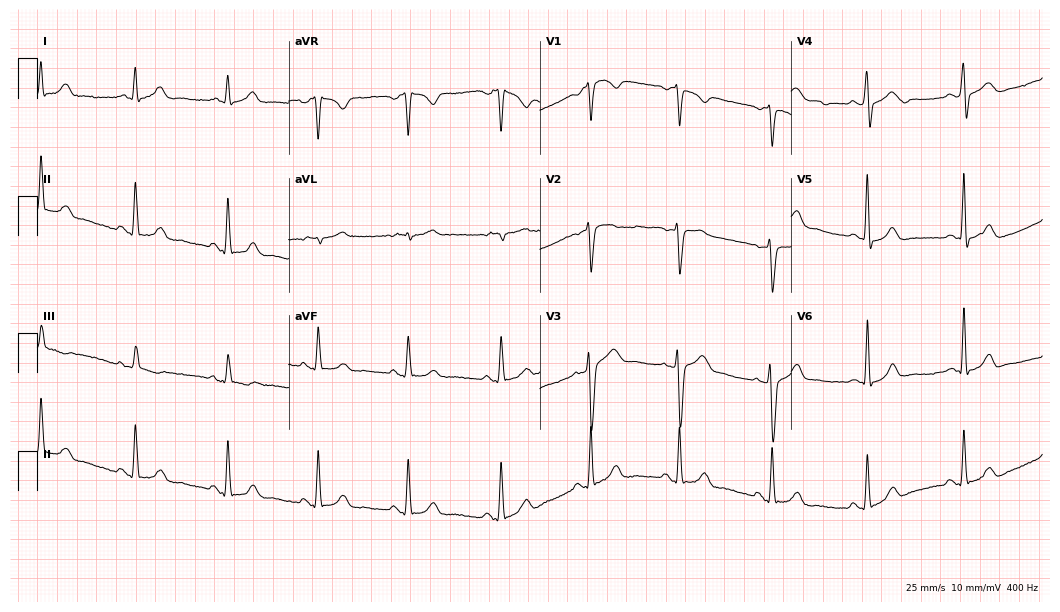
12-lead ECG (10.2-second recording at 400 Hz) from a 36-year-old man. Labelled as a normal ECG.